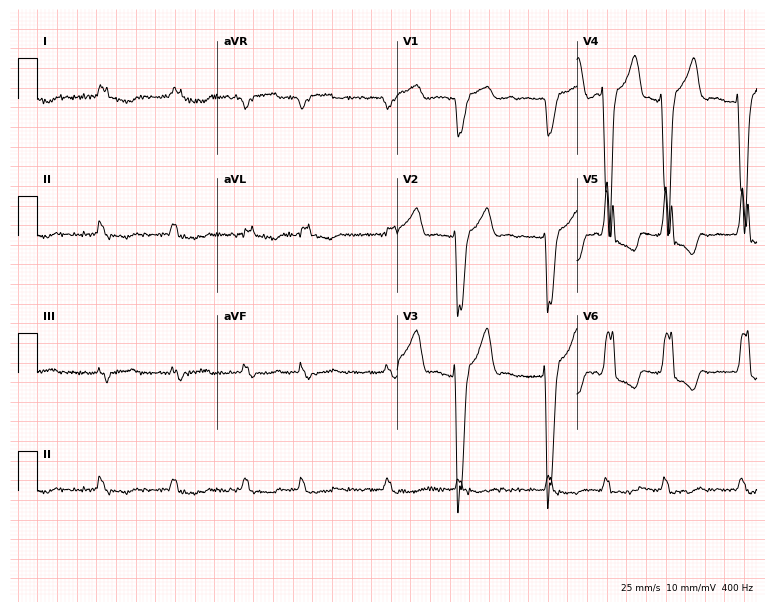
12-lead ECG from a 74-year-old man (7.3-second recording at 400 Hz). No first-degree AV block, right bundle branch block, left bundle branch block, sinus bradycardia, atrial fibrillation or sinus tachycardia recorded for this tracing. Findings outside these six are not listed.